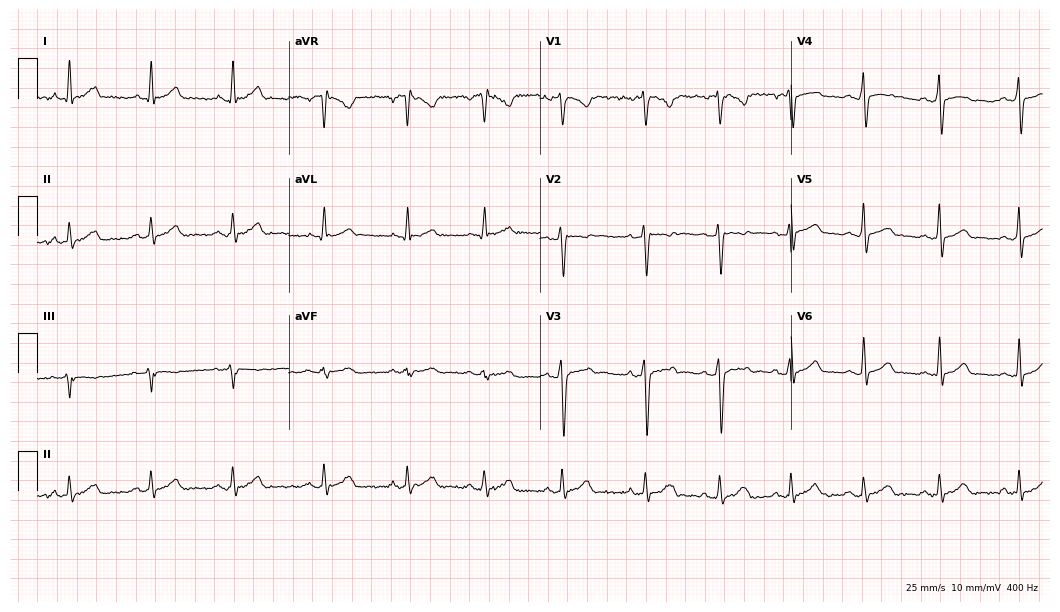
Resting 12-lead electrocardiogram (10.2-second recording at 400 Hz). Patient: a male, 18 years old. Read as a normal ECG.